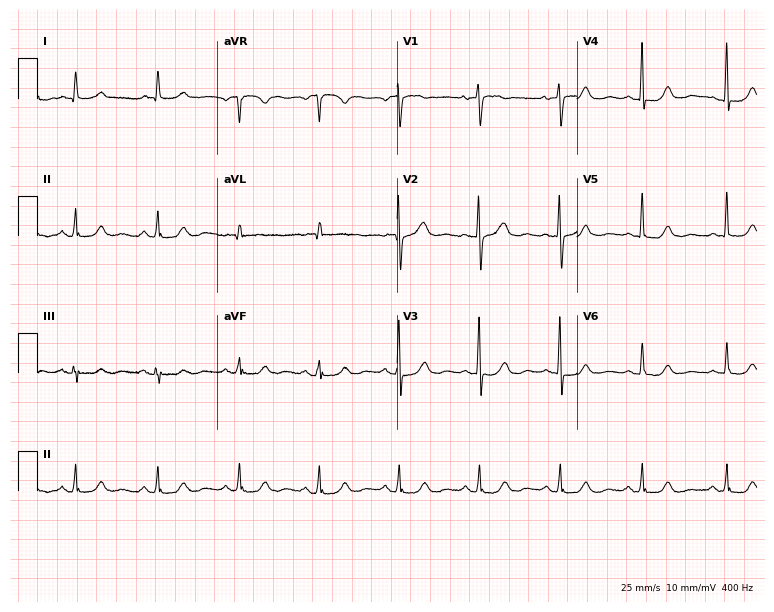
Resting 12-lead electrocardiogram. Patient: a 63-year-old female. Read as a normal ECG.